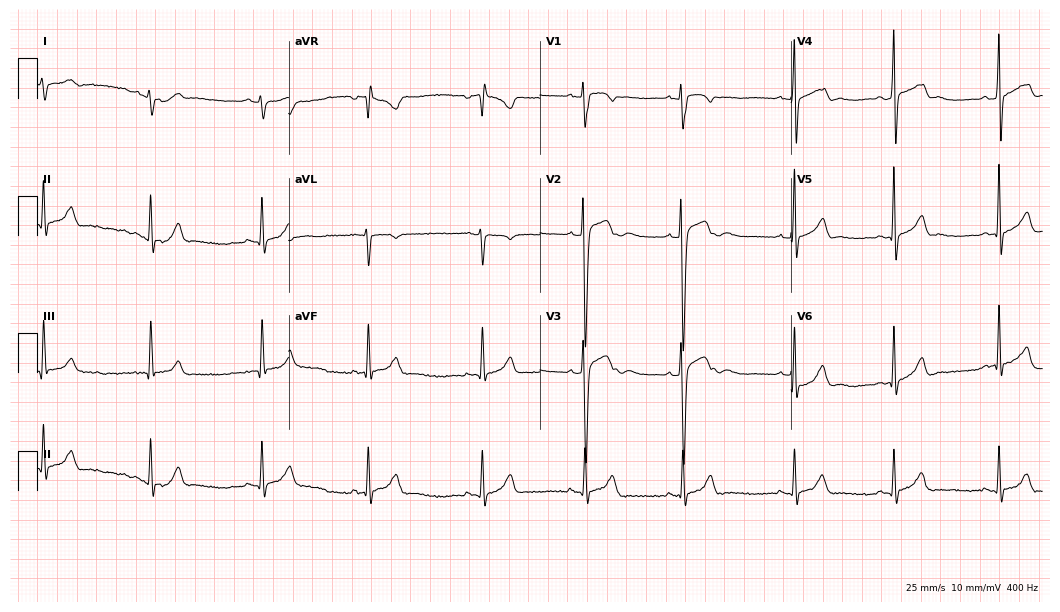
Resting 12-lead electrocardiogram. Patient: a 21-year-old female. None of these six findings is recorded: first-degree AV block, right bundle branch block, left bundle branch block, sinus bradycardia, atrial fibrillation, sinus tachycardia. Findings outside these six are not listed.